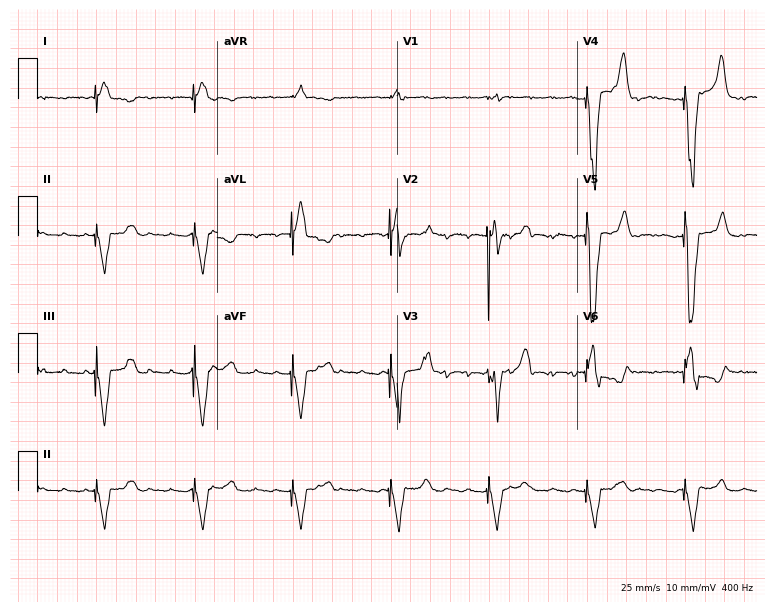
12-lead ECG from a 79-year-old man. Screened for six findings — first-degree AV block, right bundle branch block (RBBB), left bundle branch block (LBBB), sinus bradycardia, atrial fibrillation (AF), sinus tachycardia — none is recorded. Other findings, if any, are not listed.